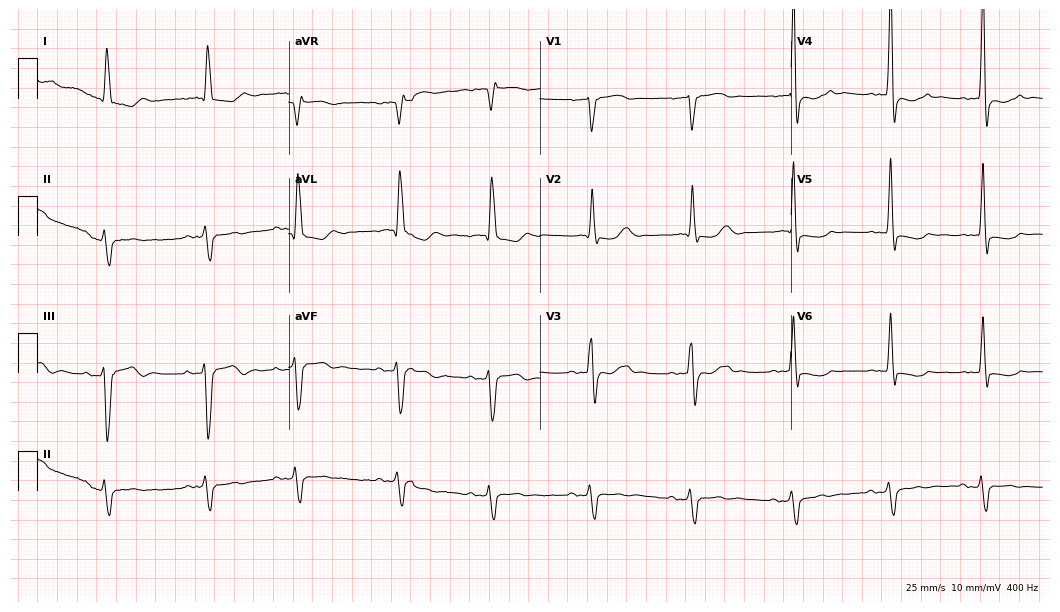
Standard 12-lead ECG recorded from an 82-year-old female. The tracing shows left bundle branch block (LBBB).